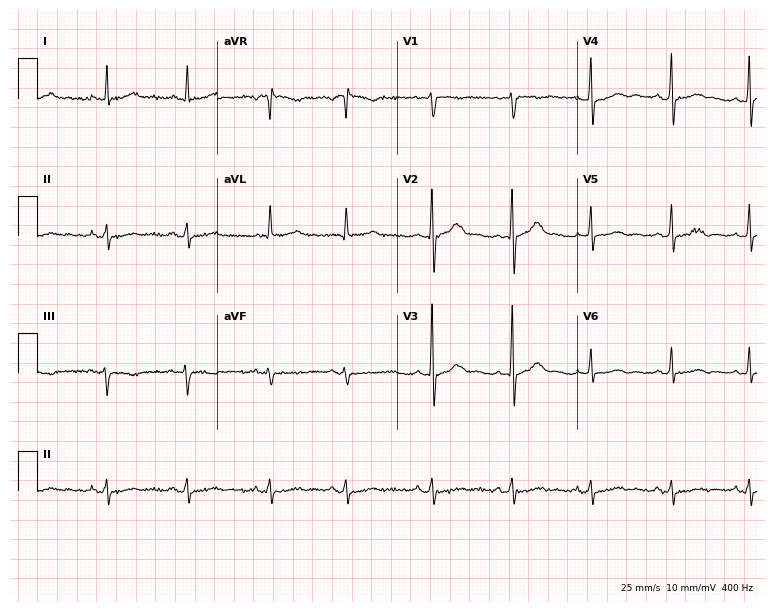
12-lead ECG from a man, 63 years old. Recorded interpretation: within normal limits.